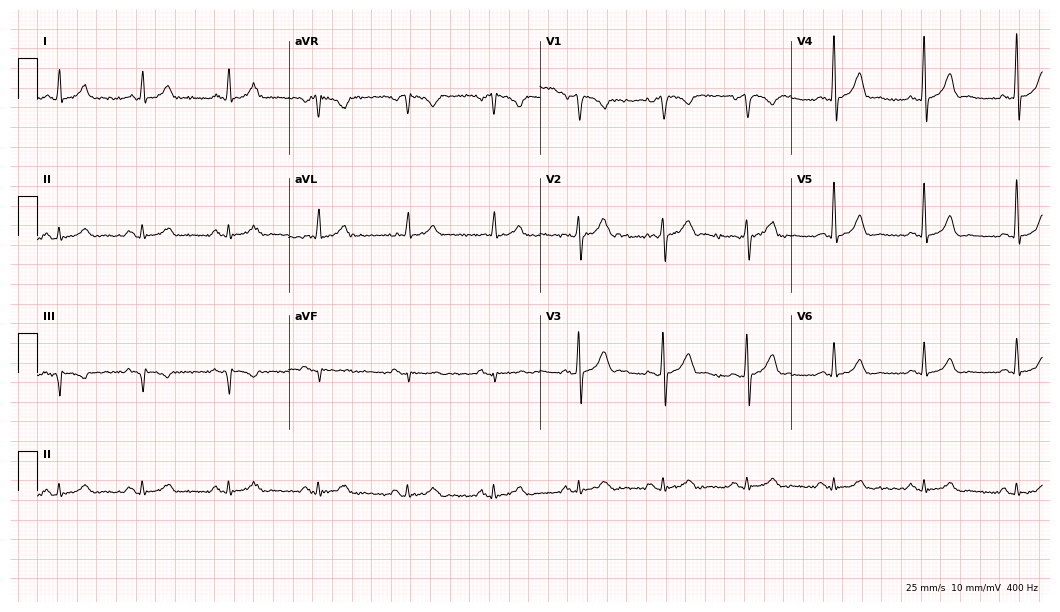
ECG — a male, 56 years old. Labelled as a normal ECG.